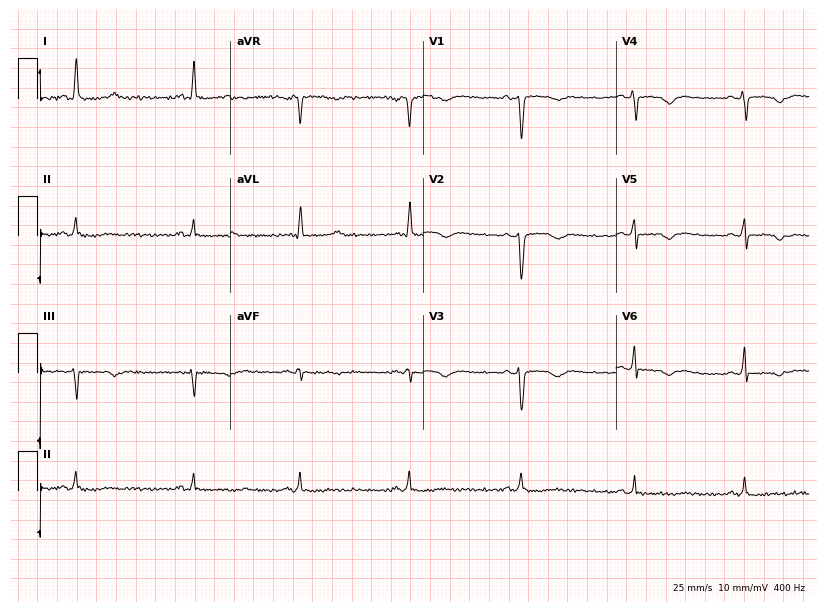
Resting 12-lead electrocardiogram. Patient: a 47-year-old female. None of these six findings is recorded: first-degree AV block, right bundle branch block, left bundle branch block, sinus bradycardia, atrial fibrillation, sinus tachycardia.